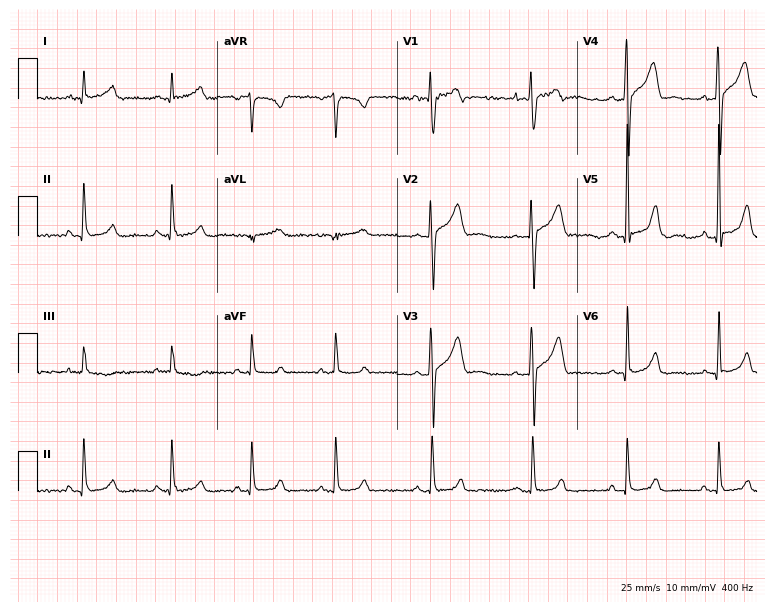
Electrocardiogram (7.3-second recording at 400 Hz), a male, 32 years old. Overall reading on record: normal ECG.